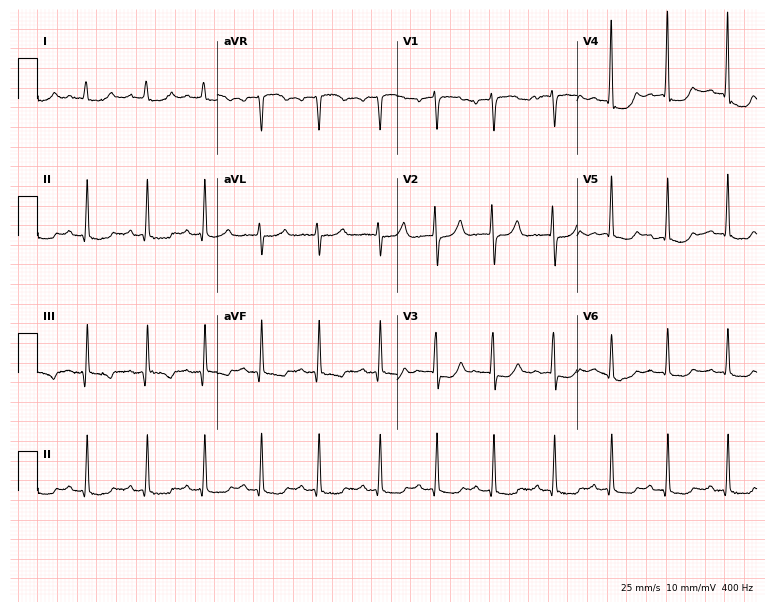
12-lead ECG from a 61-year-old female. Findings include sinus tachycardia (a sinus rate of 100 beats per minute or more).